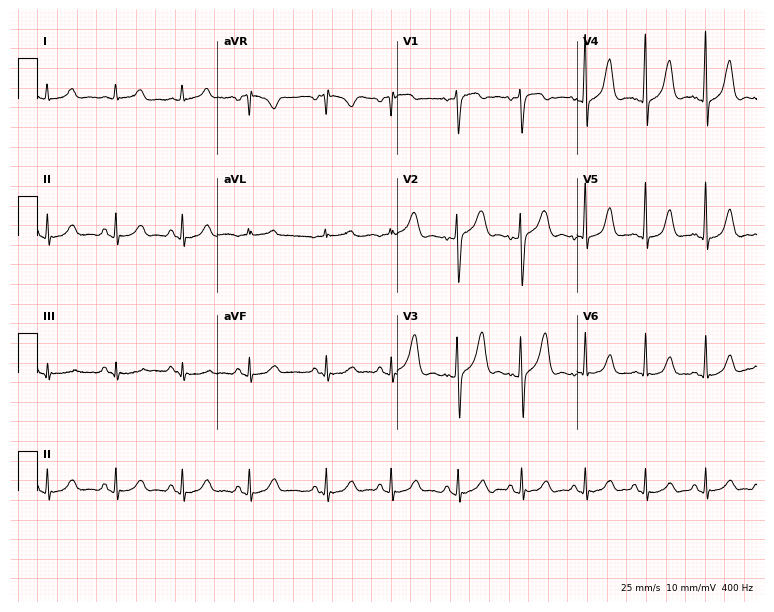
Electrocardiogram (7.3-second recording at 400 Hz), a male, 51 years old. Of the six screened findings (first-degree AV block, right bundle branch block (RBBB), left bundle branch block (LBBB), sinus bradycardia, atrial fibrillation (AF), sinus tachycardia), none is recorded.